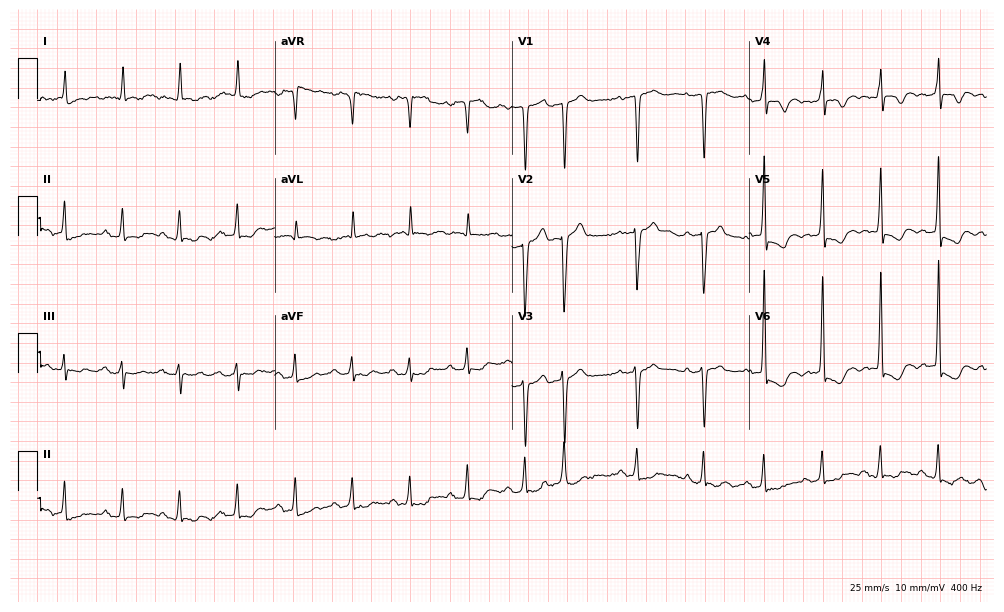
12-lead ECG (9.7-second recording at 400 Hz) from a female, 87 years old. Screened for six findings — first-degree AV block, right bundle branch block (RBBB), left bundle branch block (LBBB), sinus bradycardia, atrial fibrillation (AF), sinus tachycardia — none is recorded. Other findings, if any, are not listed.